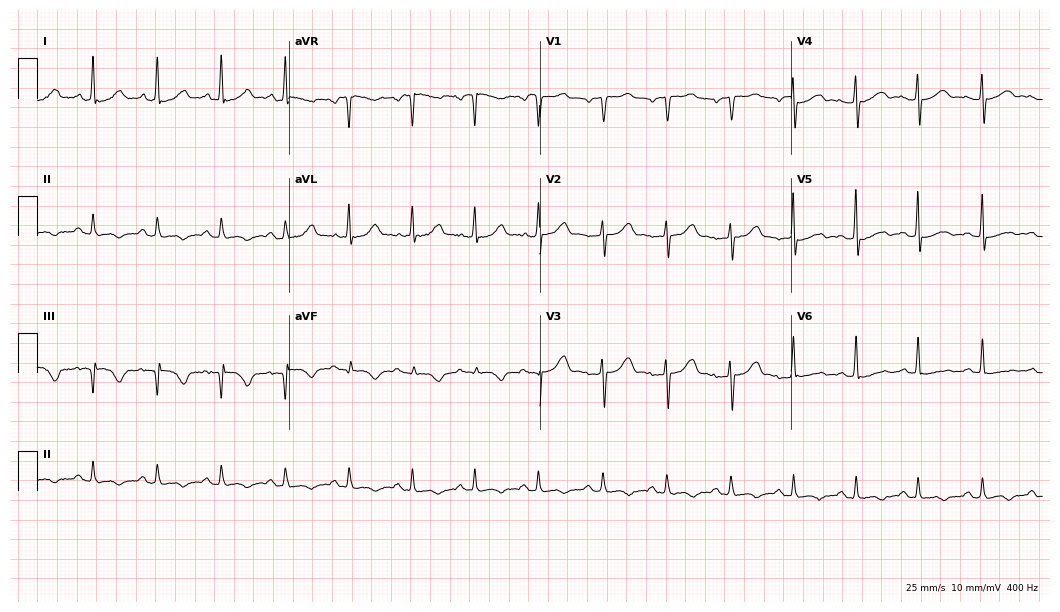
ECG (10.2-second recording at 400 Hz) — an 85-year-old female patient. Screened for six findings — first-degree AV block, right bundle branch block, left bundle branch block, sinus bradycardia, atrial fibrillation, sinus tachycardia — none is recorded. Only these six findings were labelled.